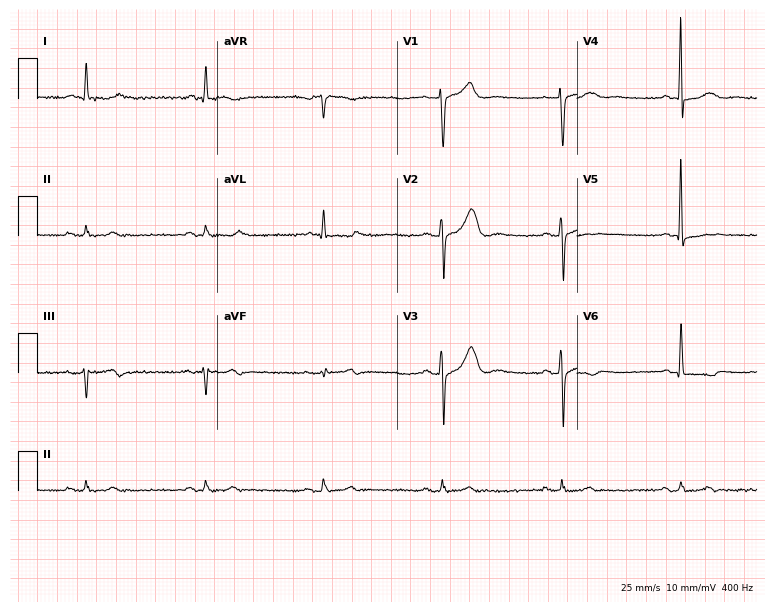
12-lead ECG from an 84-year-old male patient (7.3-second recording at 400 Hz). No first-degree AV block, right bundle branch block (RBBB), left bundle branch block (LBBB), sinus bradycardia, atrial fibrillation (AF) or sinus tachycardia recorded for this tracing.